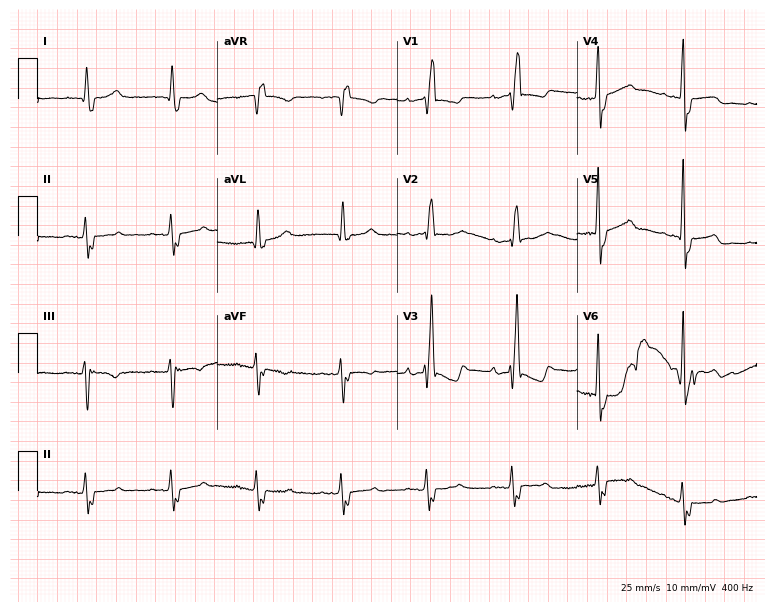
Electrocardiogram, a 76-year-old female. Interpretation includes right bundle branch block (RBBB).